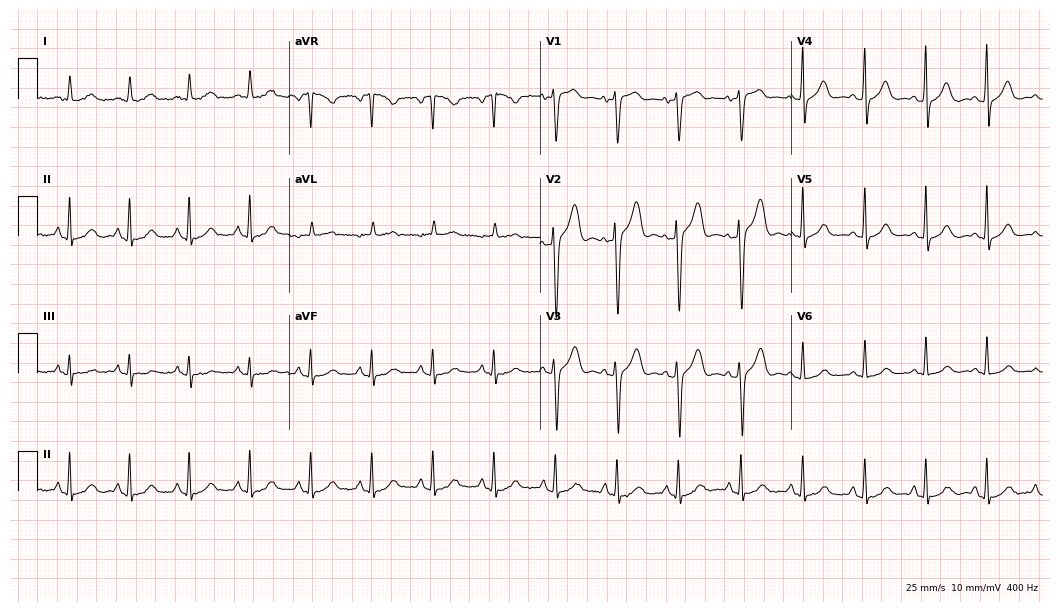
Resting 12-lead electrocardiogram. Patient: a 67-year-old woman. Read as a normal ECG.